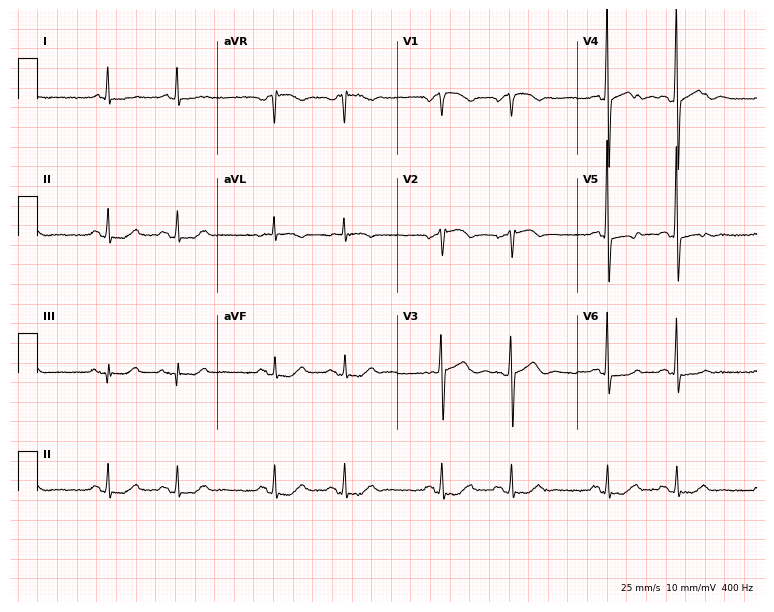
Standard 12-lead ECG recorded from a male, 78 years old (7.3-second recording at 400 Hz). None of these six findings is recorded: first-degree AV block, right bundle branch block, left bundle branch block, sinus bradycardia, atrial fibrillation, sinus tachycardia.